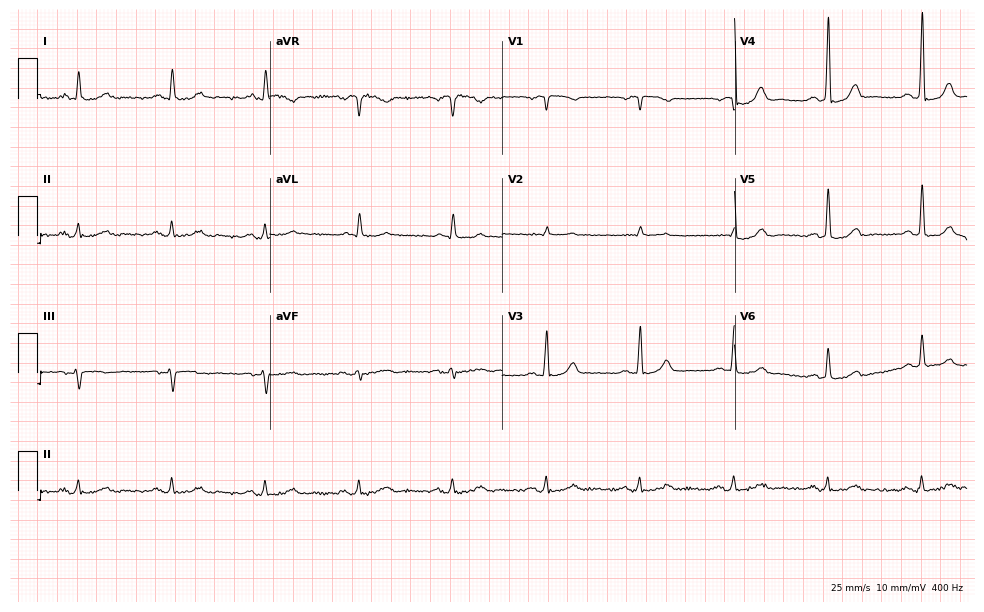
Electrocardiogram, a man, 83 years old. Of the six screened findings (first-degree AV block, right bundle branch block (RBBB), left bundle branch block (LBBB), sinus bradycardia, atrial fibrillation (AF), sinus tachycardia), none is recorded. Only these six findings were labelled.